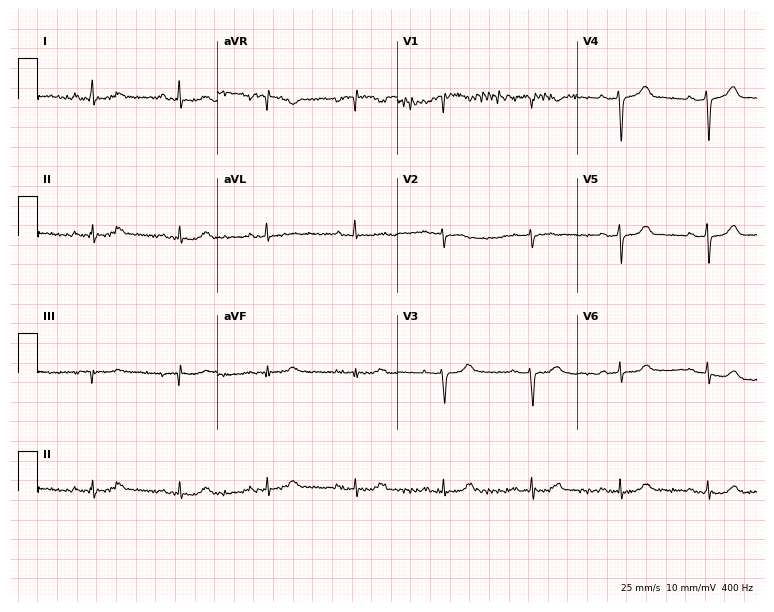
12-lead ECG from a woman, 72 years old (7.3-second recording at 400 Hz). Recorded interpretation: within normal limits.